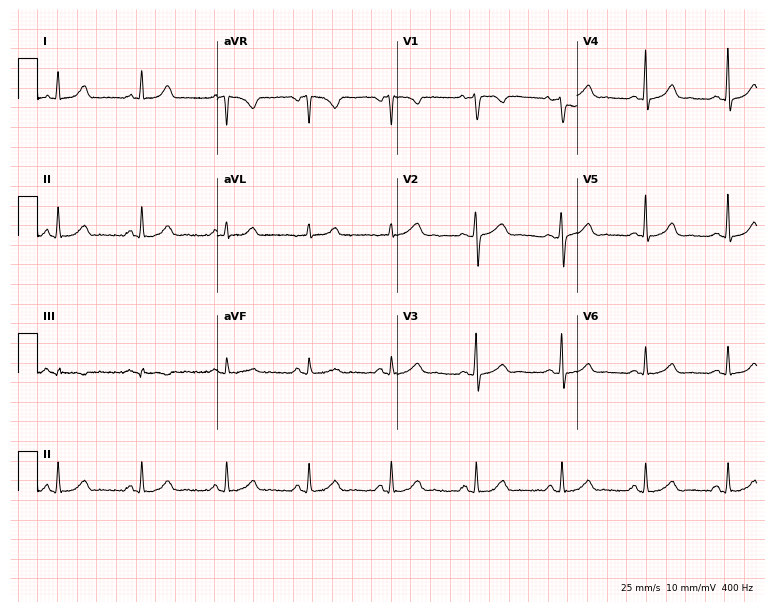
12-lead ECG from a 23-year-old female (7.3-second recording at 400 Hz). Recorded interpretation: within normal limits.